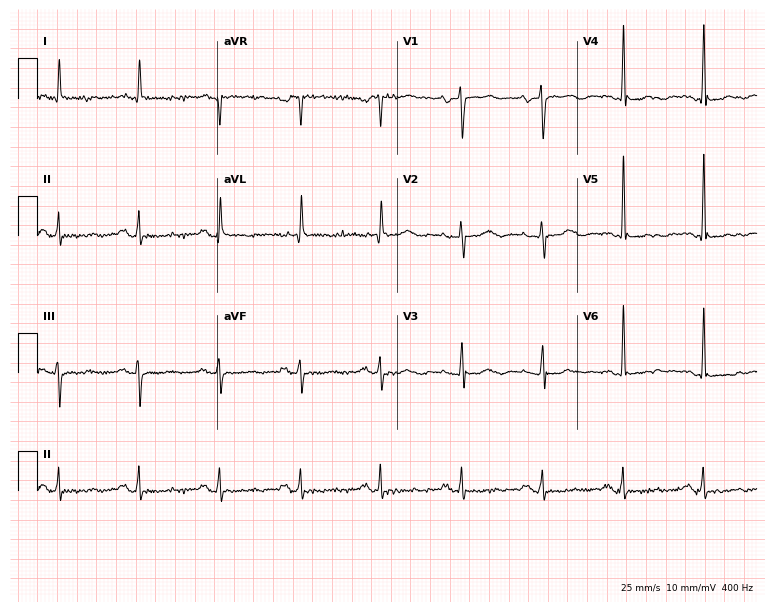
12-lead ECG (7.3-second recording at 400 Hz) from a woman, 82 years old. Labelled as a normal ECG.